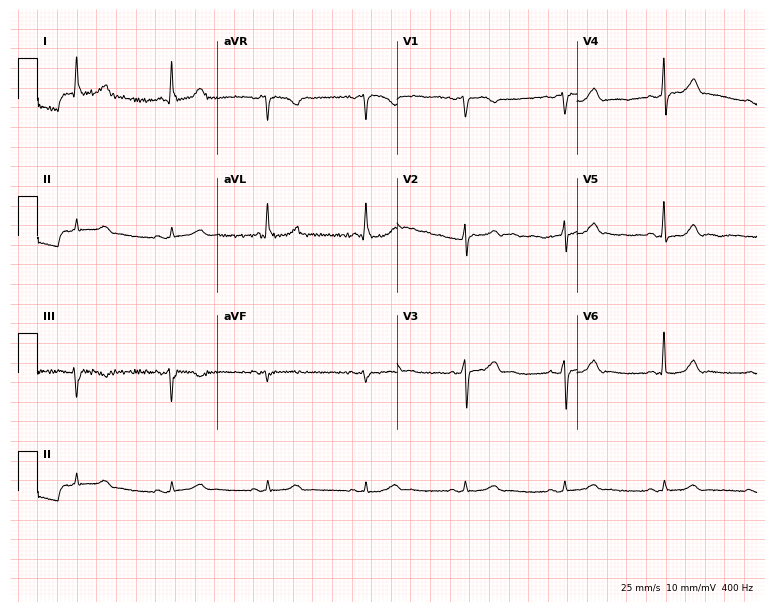
ECG — a 51-year-old male patient. Screened for six findings — first-degree AV block, right bundle branch block, left bundle branch block, sinus bradycardia, atrial fibrillation, sinus tachycardia — none is recorded. Findings outside these six are not listed.